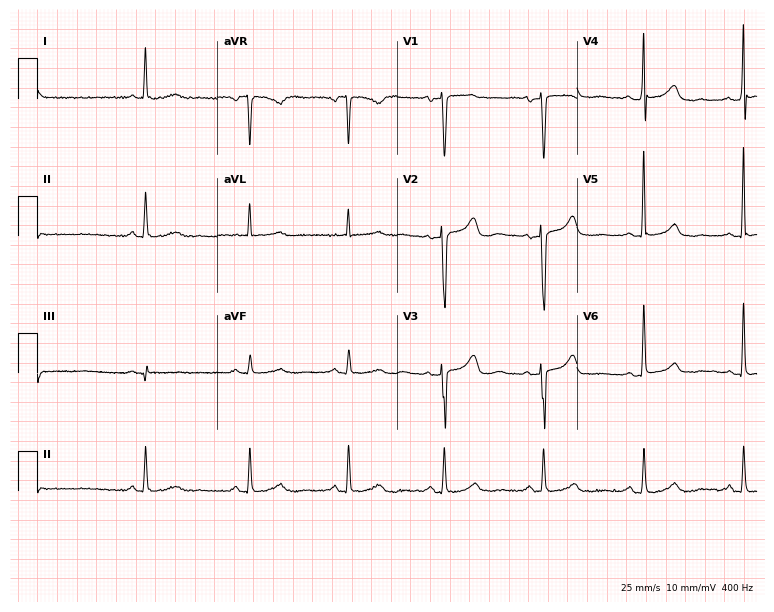
12-lead ECG from a 63-year-old female patient. No first-degree AV block, right bundle branch block (RBBB), left bundle branch block (LBBB), sinus bradycardia, atrial fibrillation (AF) or sinus tachycardia recorded for this tracing. Only these six findings were labelled.